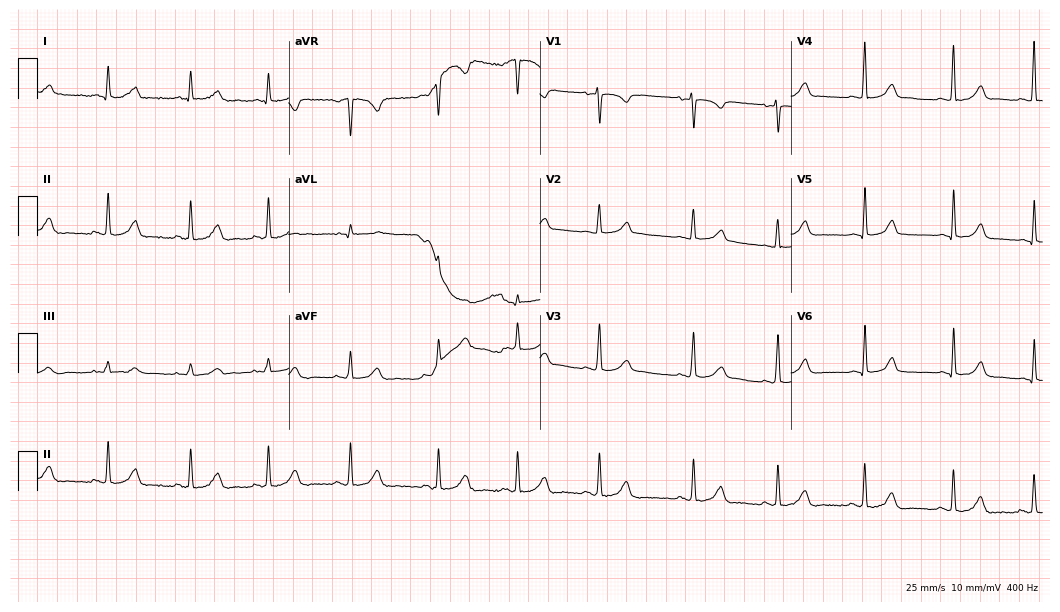
Resting 12-lead electrocardiogram (10.2-second recording at 400 Hz). Patient: a 25-year-old female. None of these six findings is recorded: first-degree AV block, right bundle branch block (RBBB), left bundle branch block (LBBB), sinus bradycardia, atrial fibrillation (AF), sinus tachycardia.